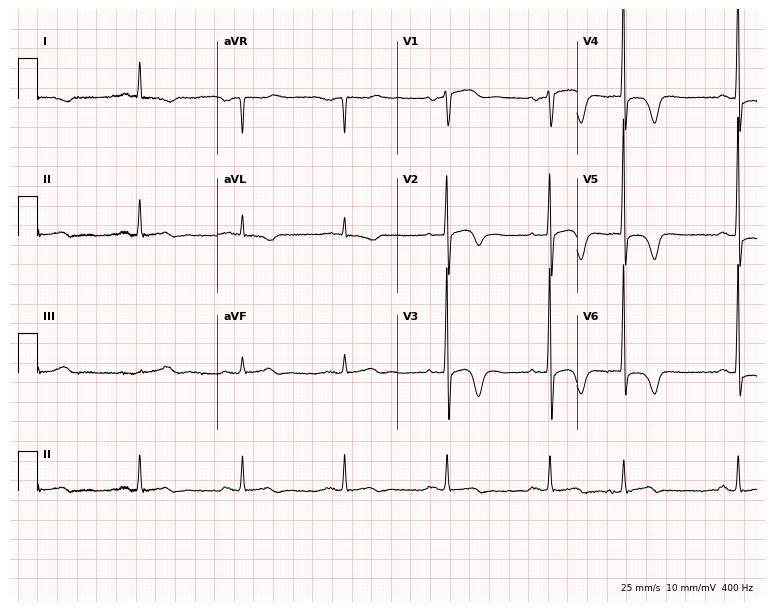
ECG (7.3-second recording at 400 Hz) — a male patient, 74 years old. Screened for six findings — first-degree AV block, right bundle branch block (RBBB), left bundle branch block (LBBB), sinus bradycardia, atrial fibrillation (AF), sinus tachycardia — none is recorded. Findings outside these six are not listed.